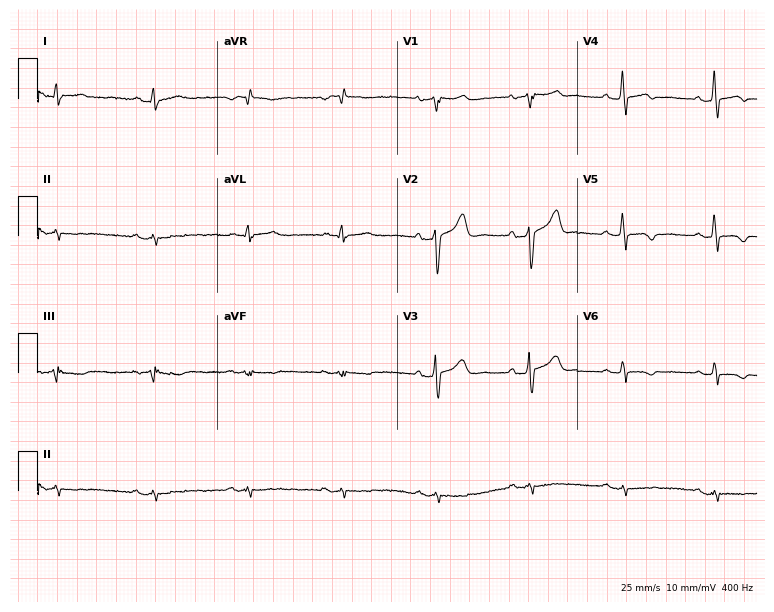
Resting 12-lead electrocardiogram (7.3-second recording at 400 Hz). Patient: a male, 55 years old. None of these six findings is recorded: first-degree AV block, right bundle branch block, left bundle branch block, sinus bradycardia, atrial fibrillation, sinus tachycardia.